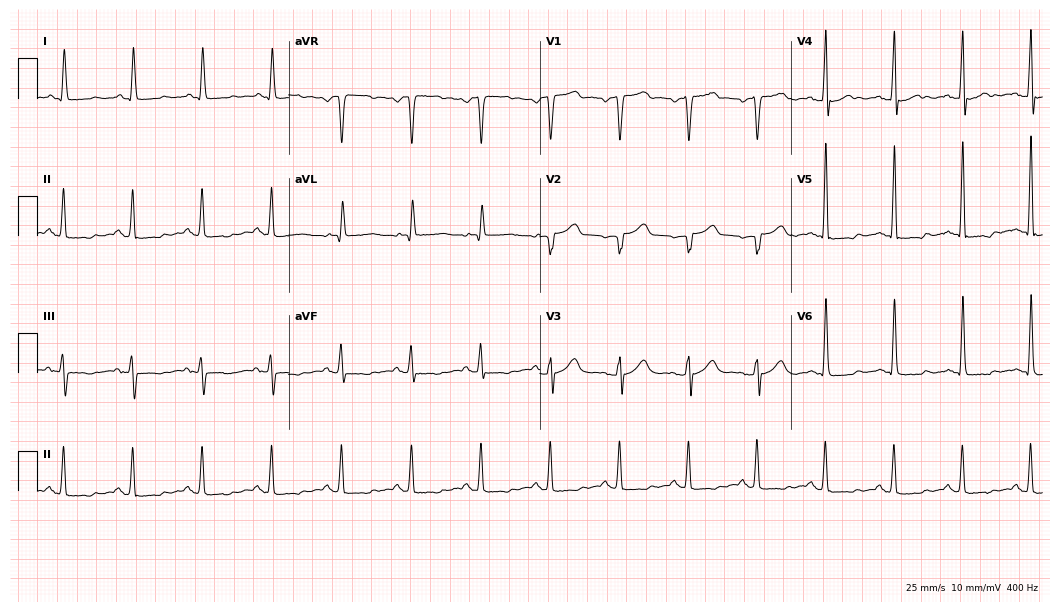
12-lead ECG from a 62-year-old female patient (10.2-second recording at 400 Hz). Recorded interpretation: within normal limits.